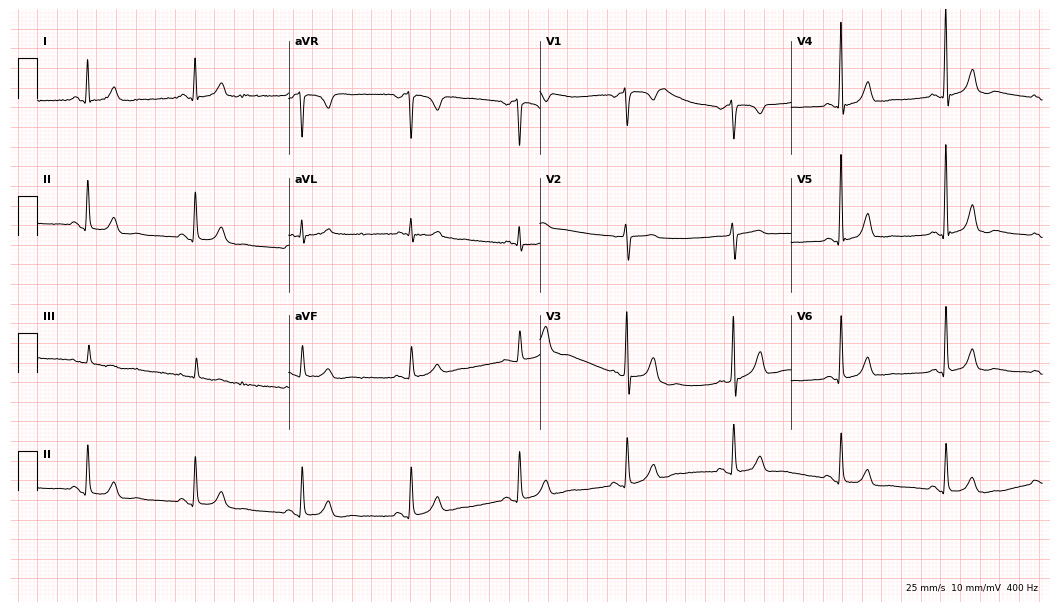
12-lead ECG from a 67-year-old woman. Labelled as a normal ECG.